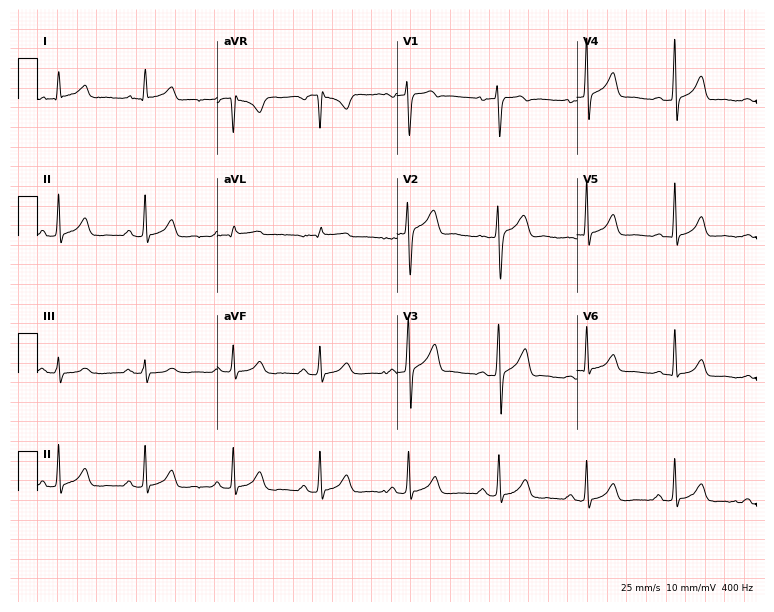
12-lead ECG from a 41-year-old man. Screened for six findings — first-degree AV block, right bundle branch block (RBBB), left bundle branch block (LBBB), sinus bradycardia, atrial fibrillation (AF), sinus tachycardia — none is recorded. Findings outside these six are not listed.